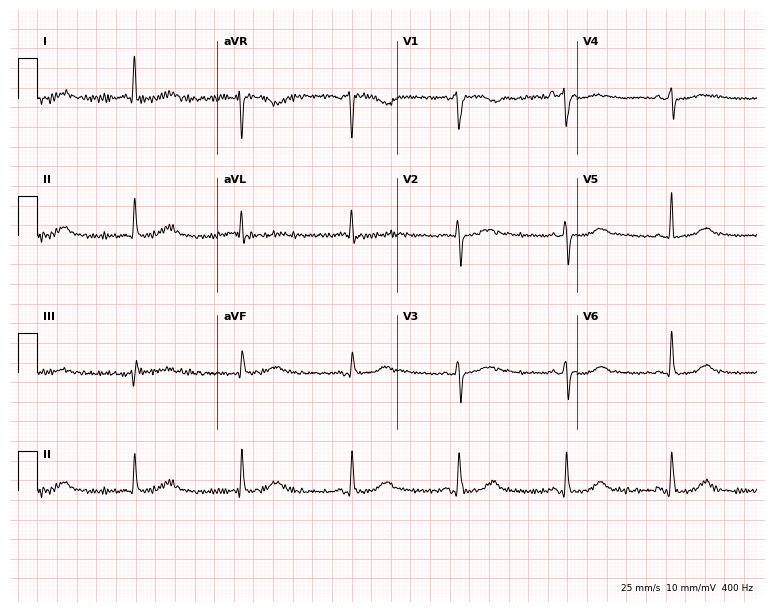
12-lead ECG (7.3-second recording at 400 Hz) from a 59-year-old female. Labelled as a normal ECG.